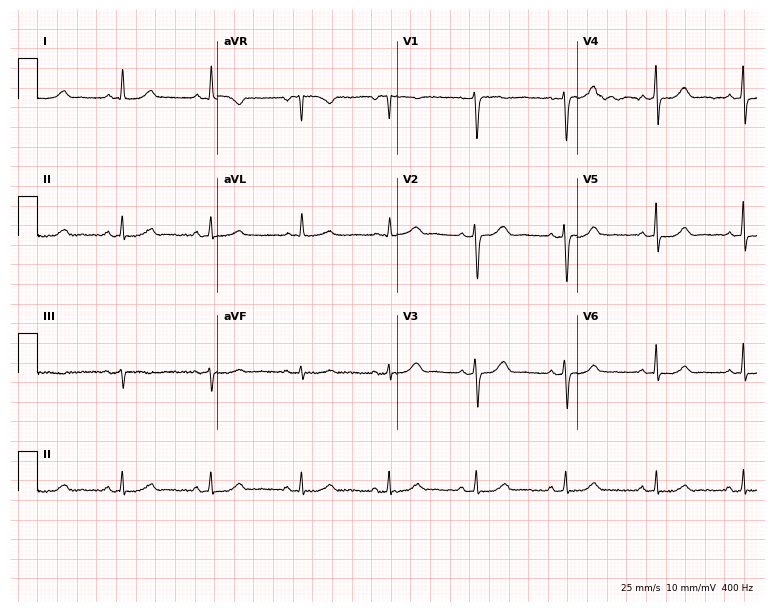
Resting 12-lead electrocardiogram. Patient: a 50-year-old female. None of these six findings is recorded: first-degree AV block, right bundle branch block, left bundle branch block, sinus bradycardia, atrial fibrillation, sinus tachycardia. Findings outside these six are not listed.